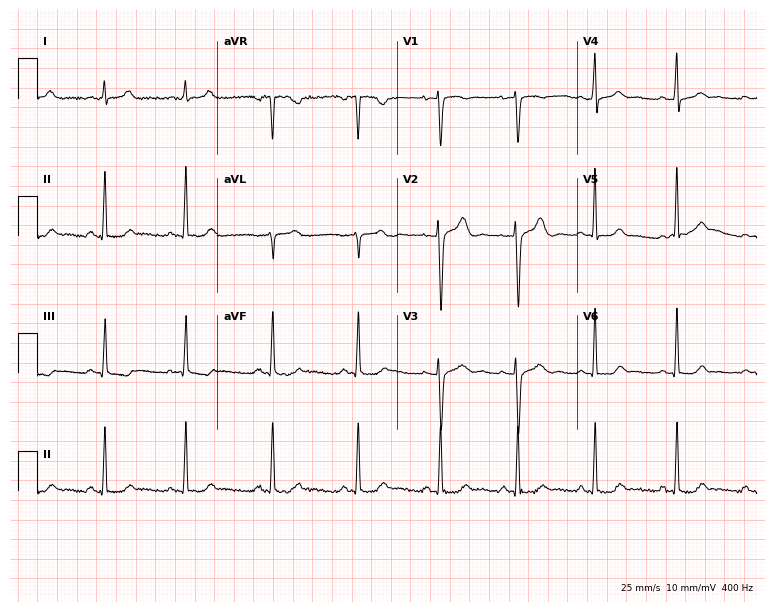
Electrocardiogram (7.3-second recording at 400 Hz), a 29-year-old woman. Of the six screened findings (first-degree AV block, right bundle branch block (RBBB), left bundle branch block (LBBB), sinus bradycardia, atrial fibrillation (AF), sinus tachycardia), none is recorded. Other findings, if any, are not listed.